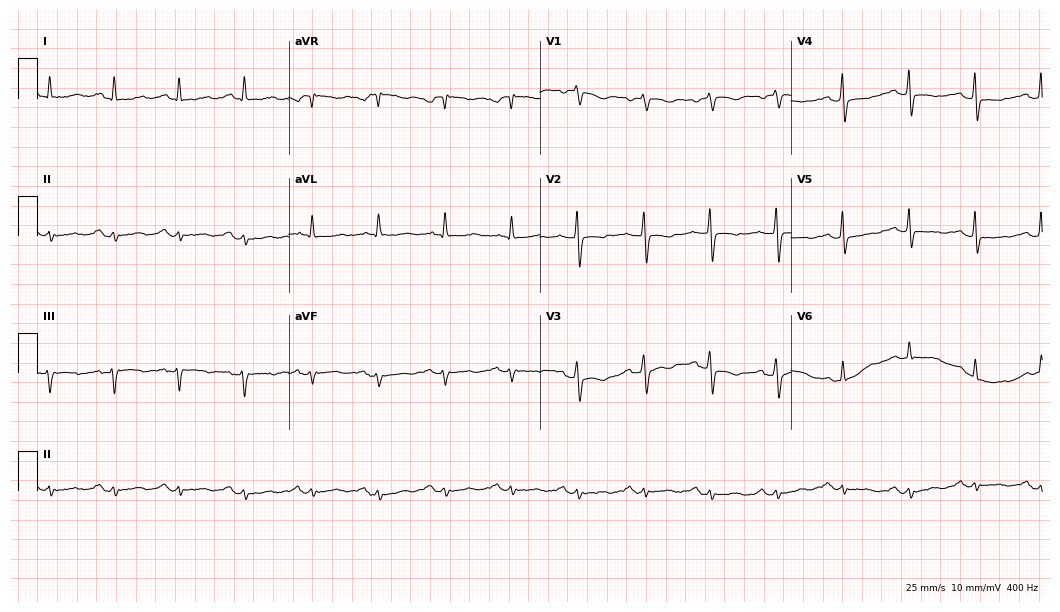
Resting 12-lead electrocardiogram (10.2-second recording at 400 Hz). Patient: a woman, 77 years old. None of these six findings is recorded: first-degree AV block, right bundle branch block (RBBB), left bundle branch block (LBBB), sinus bradycardia, atrial fibrillation (AF), sinus tachycardia.